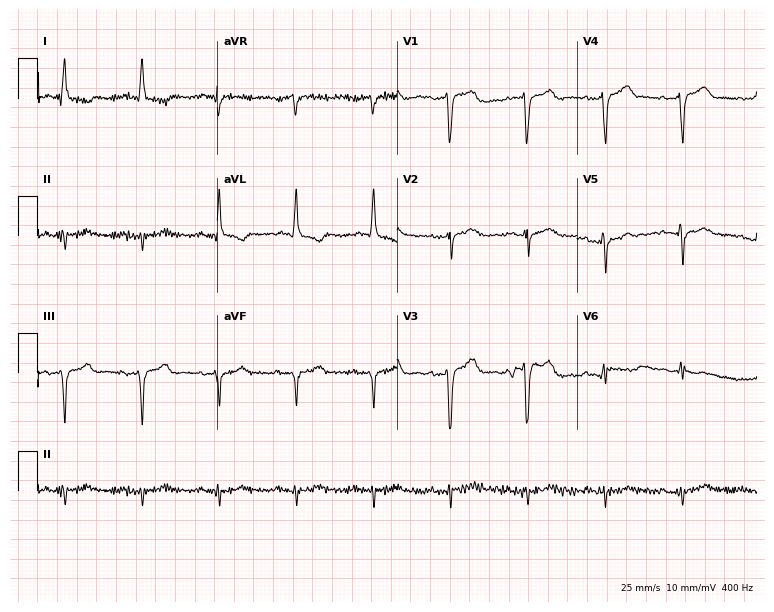
12-lead ECG from a 74-year-old man. No first-degree AV block, right bundle branch block (RBBB), left bundle branch block (LBBB), sinus bradycardia, atrial fibrillation (AF) or sinus tachycardia recorded for this tracing. Other findings, if any, are not listed.